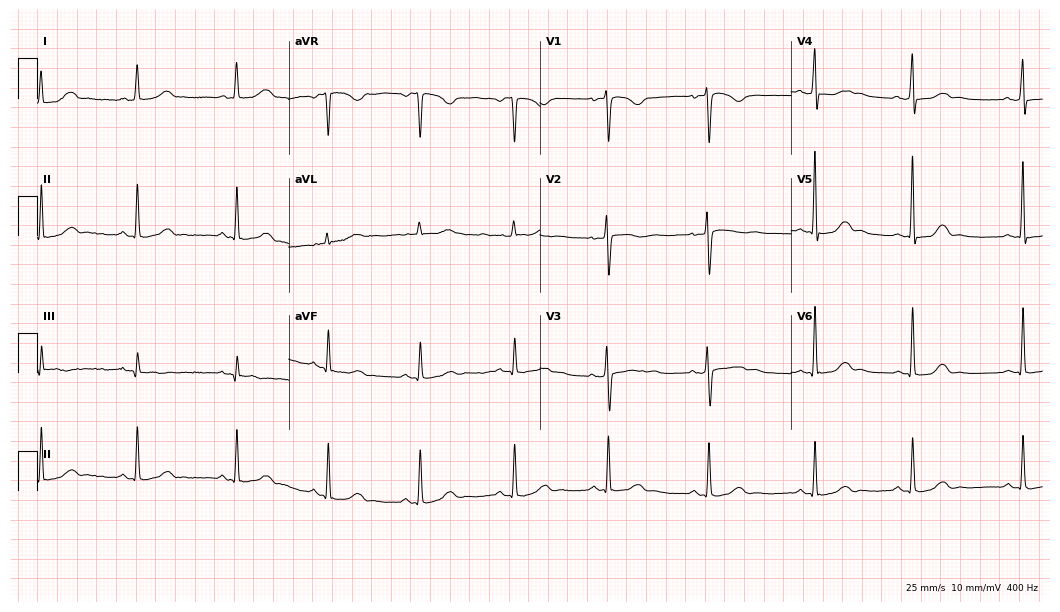
Electrocardiogram, a 45-year-old female patient. Overall reading on record: normal ECG.